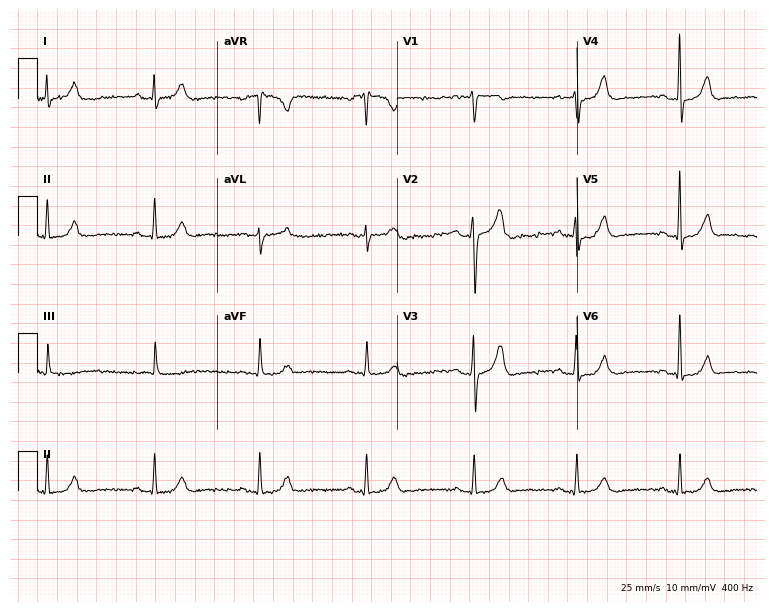
12-lead ECG from a 55-year-old man. Labelled as a normal ECG.